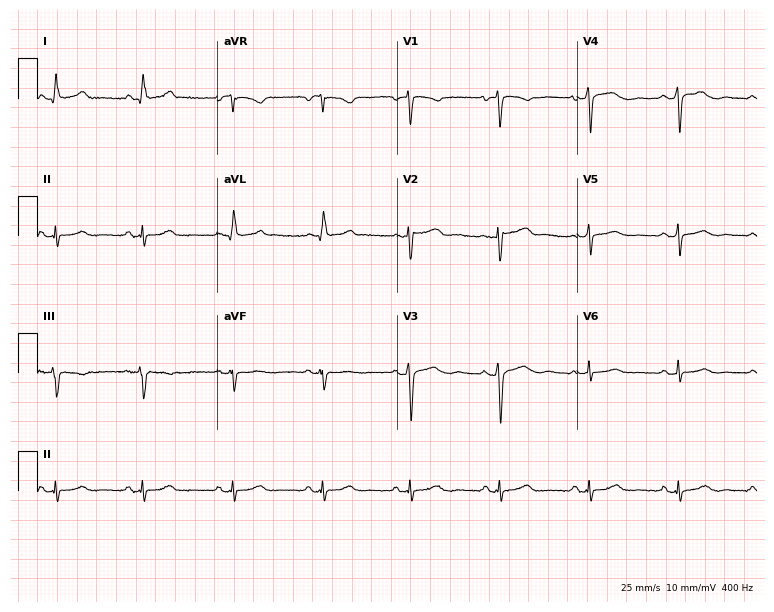
Standard 12-lead ECG recorded from a 43-year-old female patient. Read as a normal ECG.